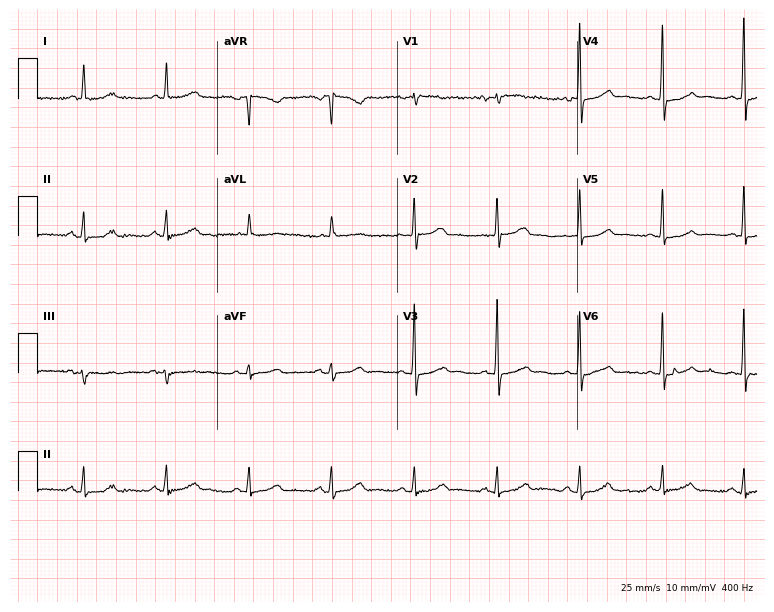
Standard 12-lead ECG recorded from a 77-year-old female. None of these six findings is recorded: first-degree AV block, right bundle branch block, left bundle branch block, sinus bradycardia, atrial fibrillation, sinus tachycardia. Findings outside these six are not listed.